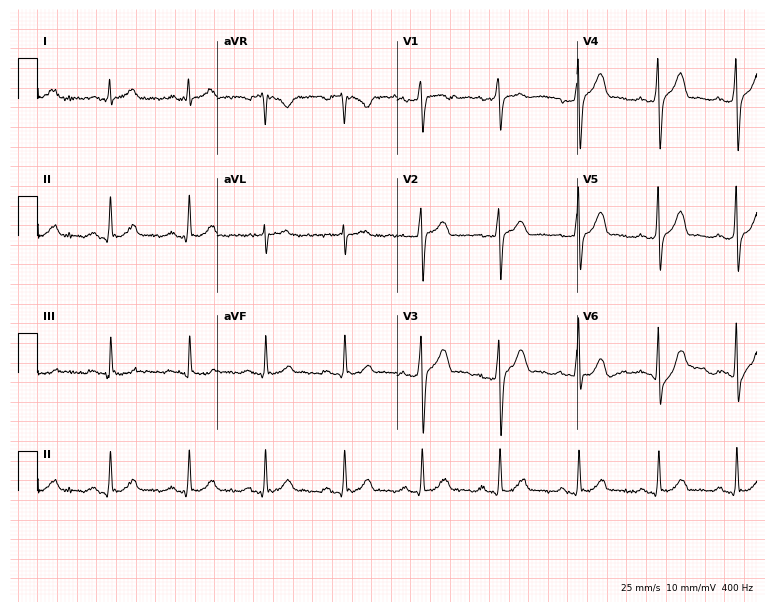
12-lead ECG from a male patient, 37 years old (7.3-second recording at 400 Hz). Recorded interpretation: within normal limits.